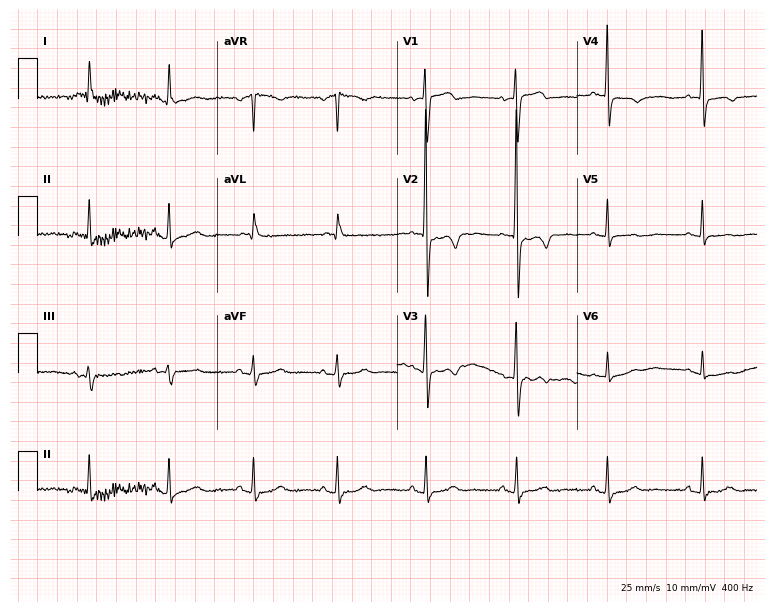
12-lead ECG from an 81-year-old female. Screened for six findings — first-degree AV block, right bundle branch block, left bundle branch block, sinus bradycardia, atrial fibrillation, sinus tachycardia — none is recorded. Findings outside these six are not listed.